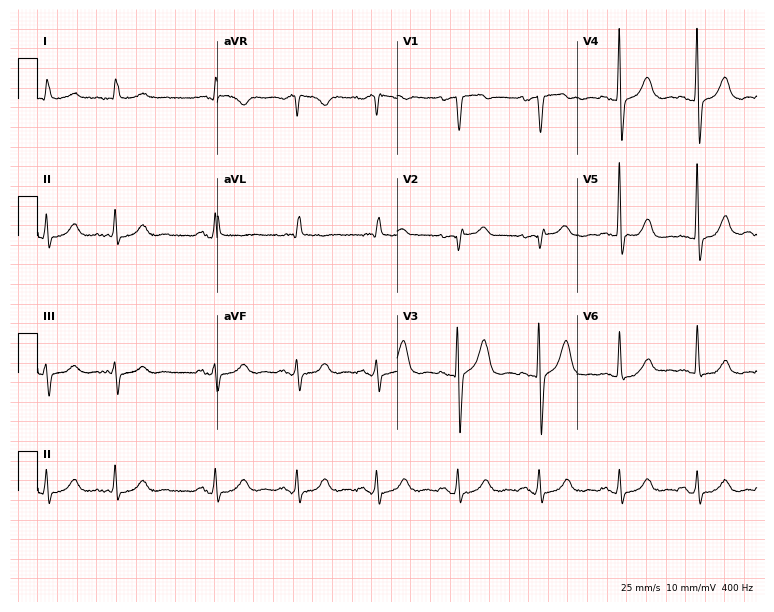
Resting 12-lead electrocardiogram. Patient: an 83-year-old male. None of these six findings is recorded: first-degree AV block, right bundle branch block, left bundle branch block, sinus bradycardia, atrial fibrillation, sinus tachycardia.